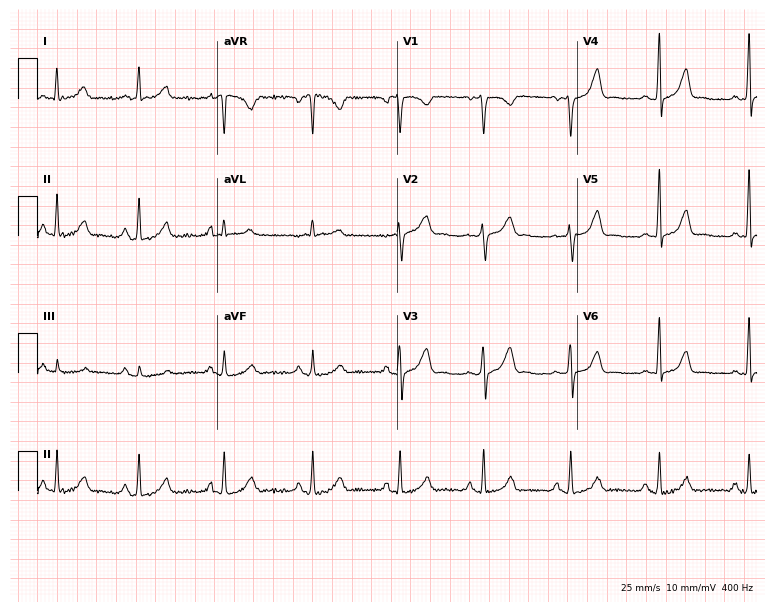
Standard 12-lead ECG recorded from a woman, 43 years old. Read as a normal ECG.